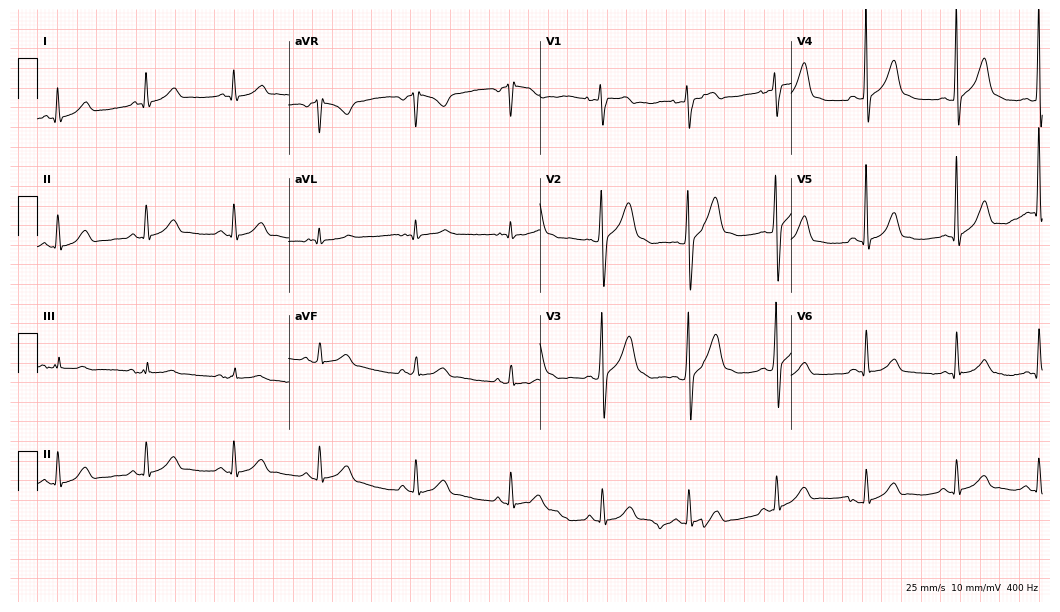
12-lead ECG (10.2-second recording at 400 Hz) from a male, 35 years old. Labelled as a normal ECG.